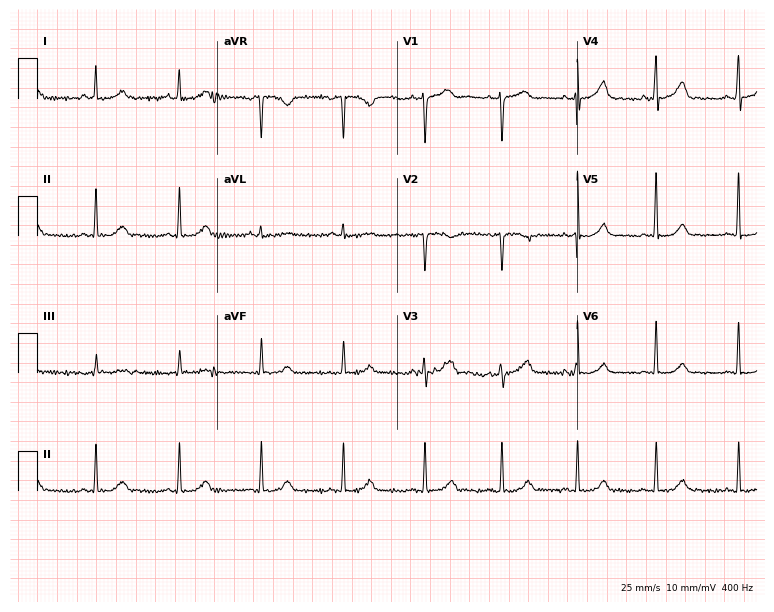
12-lead ECG from a female patient, 39 years old (7.3-second recording at 400 Hz). Recorded interpretation: within normal limits.